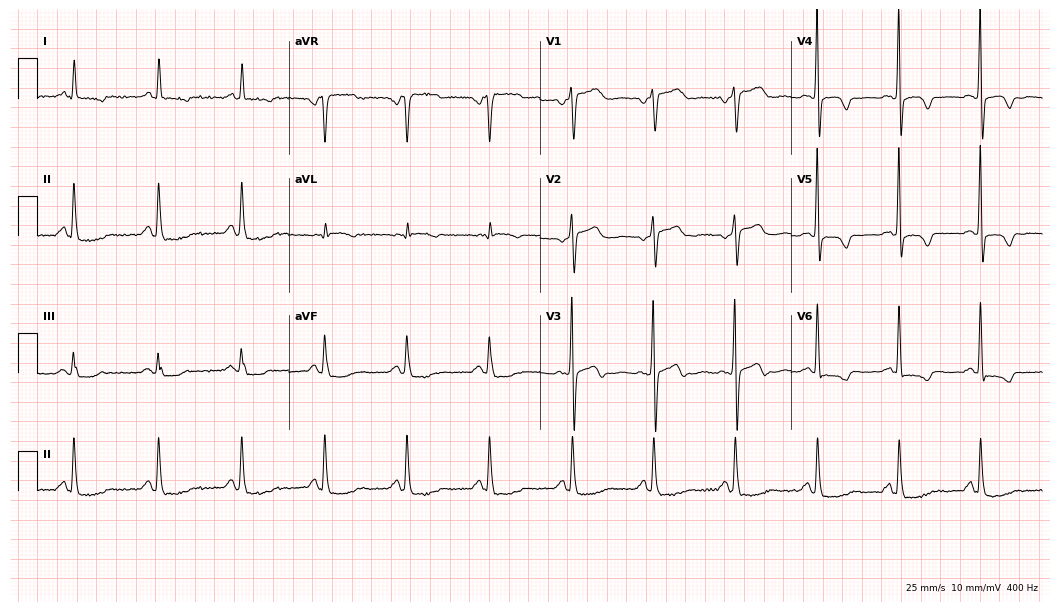
ECG (10.2-second recording at 400 Hz) — a female patient, 69 years old. Screened for six findings — first-degree AV block, right bundle branch block (RBBB), left bundle branch block (LBBB), sinus bradycardia, atrial fibrillation (AF), sinus tachycardia — none is recorded. Findings outside these six are not listed.